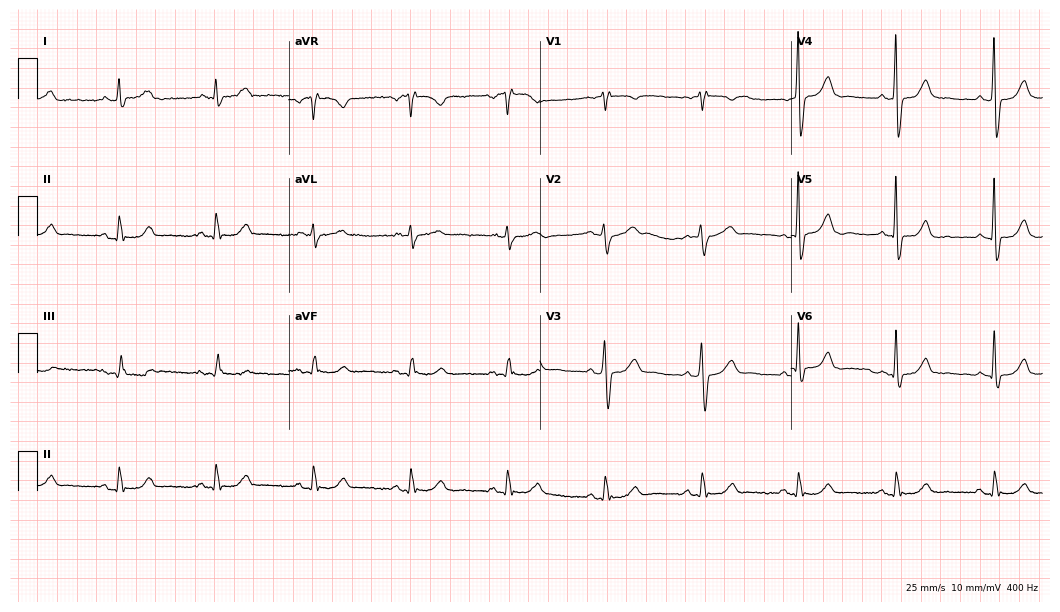
Electrocardiogram (10.2-second recording at 400 Hz), a man, 73 years old. Of the six screened findings (first-degree AV block, right bundle branch block (RBBB), left bundle branch block (LBBB), sinus bradycardia, atrial fibrillation (AF), sinus tachycardia), none is recorded.